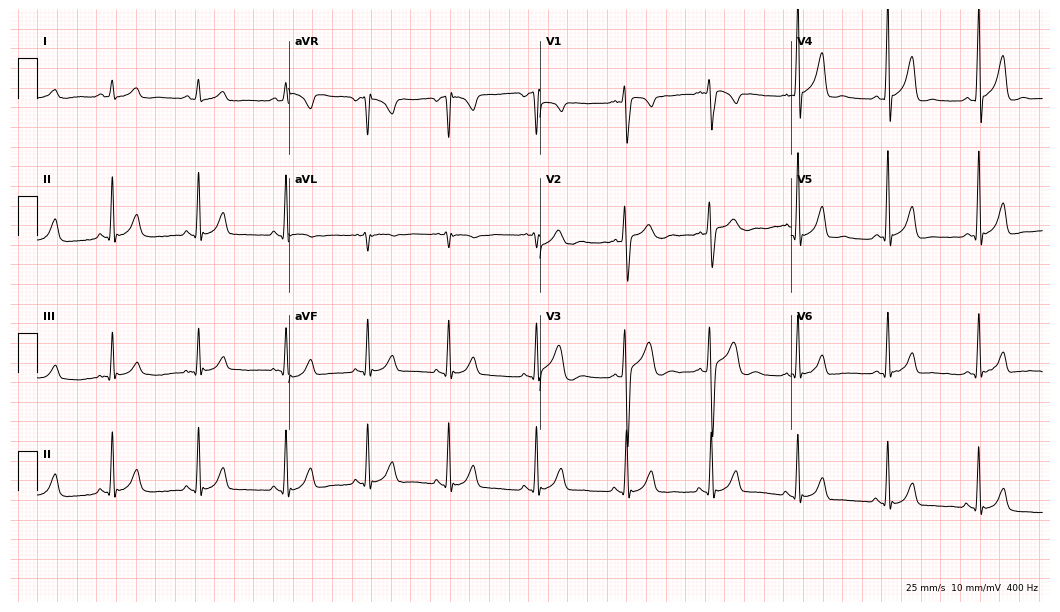
Electrocardiogram (10.2-second recording at 400 Hz), a man, 20 years old. Overall reading on record: normal ECG.